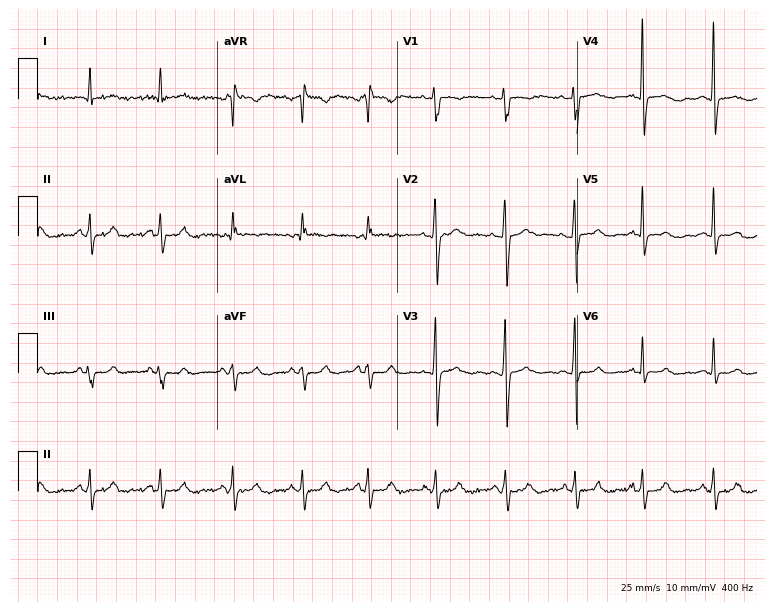
12-lead ECG (7.3-second recording at 400 Hz) from a female, 35 years old. Screened for six findings — first-degree AV block, right bundle branch block, left bundle branch block, sinus bradycardia, atrial fibrillation, sinus tachycardia — none is recorded. Findings outside these six are not listed.